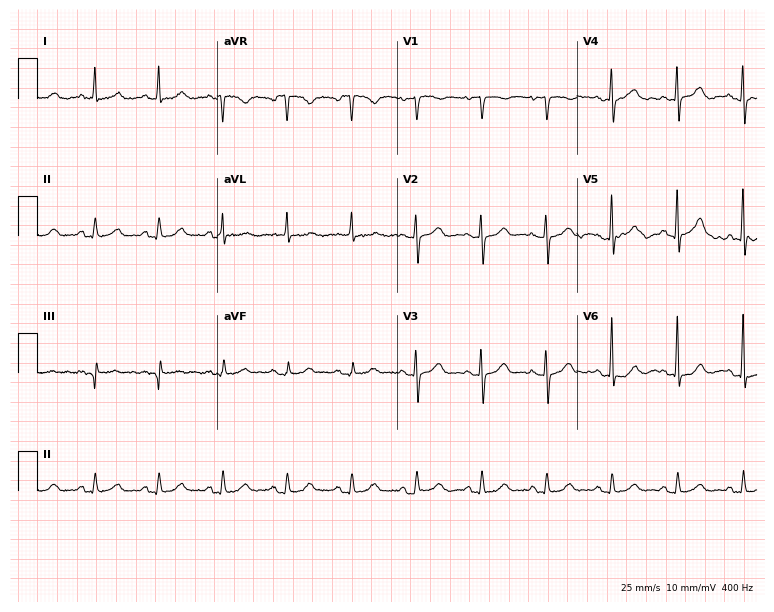
ECG (7.3-second recording at 400 Hz) — an 85-year-old male patient. Labelled as a normal ECG.